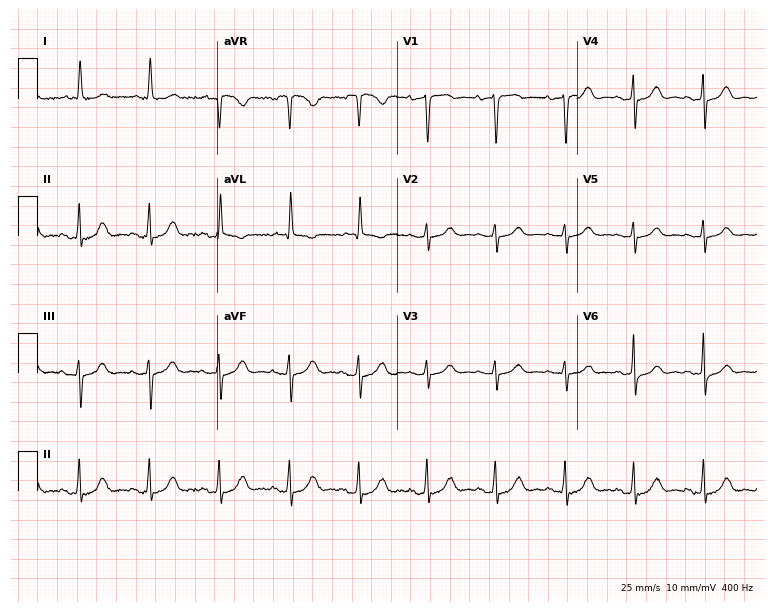
Standard 12-lead ECG recorded from a female, 84 years old. Read as a normal ECG.